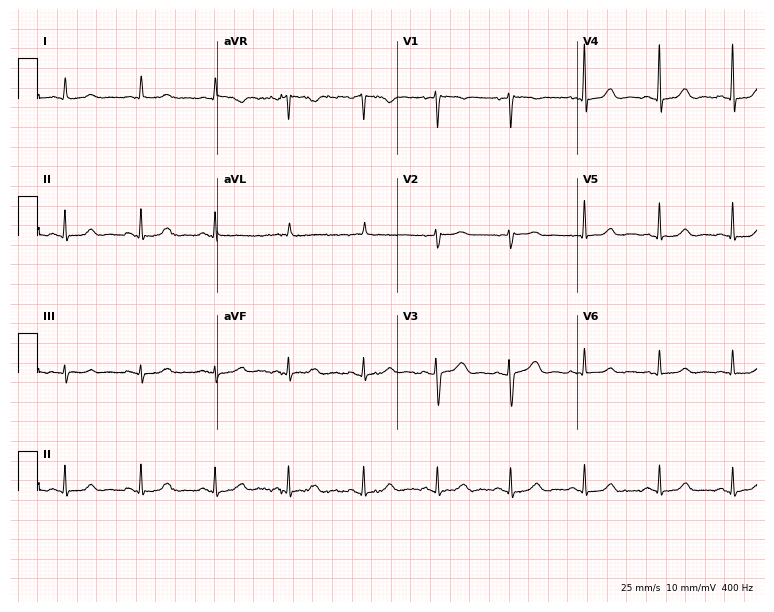
Resting 12-lead electrocardiogram (7.3-second recording at 400 Hz). Patient: a 66-year-old woman. None of these six findings is recorded: first-degree AV block, right bundle branch block, left bundle branch block, sinus bradycardia, atrial fibrillation, sinus tachycardia. Findings outside these six are not listed.